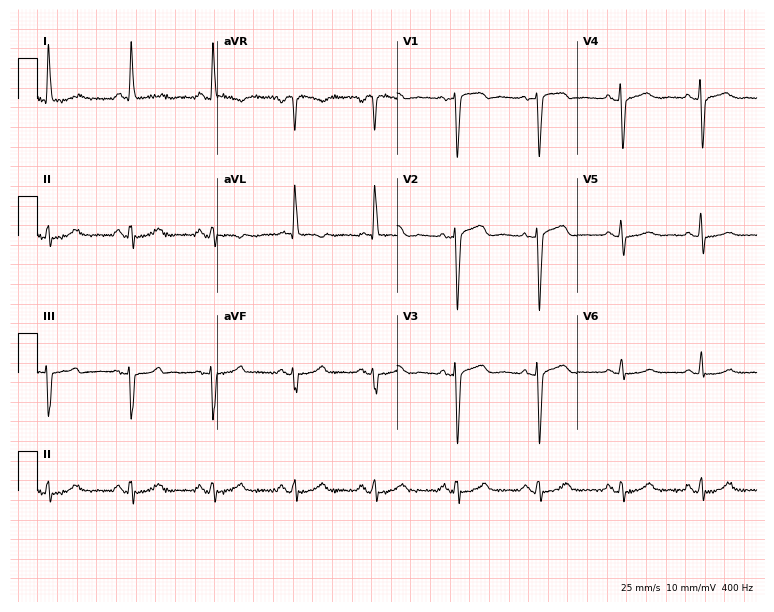
Resting 12-lead electrocardiogram. Patient: a 69-year-old female. None of these six findings is recorded: first-degree AV block, right bundle branch block, left bundle branch block, sinus bradycardia, atrial fibrillation, sinus tachycardia.